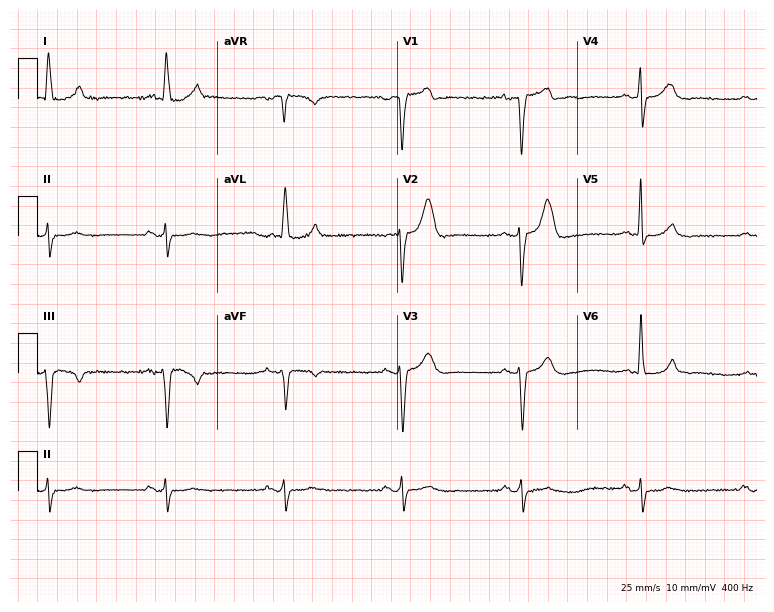
Resting 12-lead electrocardiogram. Patient: a male, 81 years old. None of these six findings is recorded: first-degree AV block, right bundle branch block (RBBB), left bundle branch block (LBBB), sinus bradycardia, atrial fibrillation (AF), sinus tachycardia. Other findings, if any, are not listed.